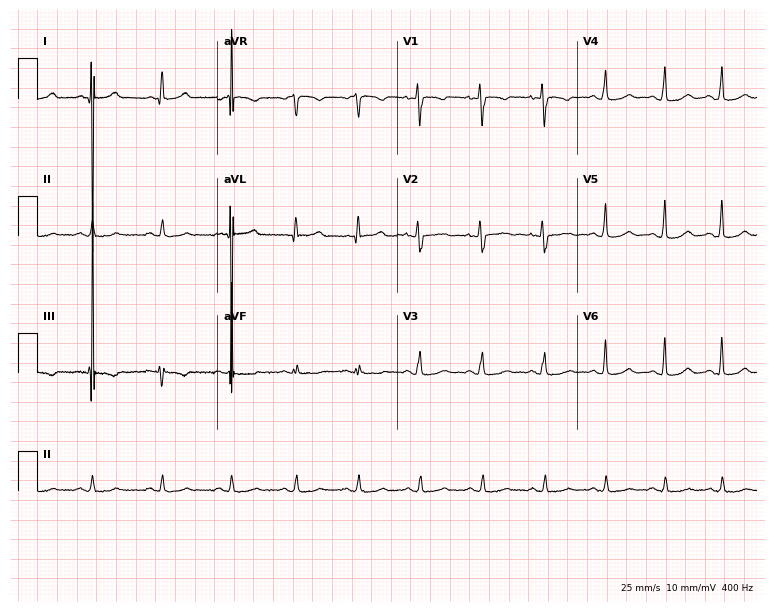
Standard 12-lead ECG recorded from a 22-year-old woman. None of these six findings is recorded: first-degree AV block, right bundle branch block, left bundle branch block, sinus bradycardia, atrial fibrillation, sinus tachycardia. Other findings, if any, are not listed.